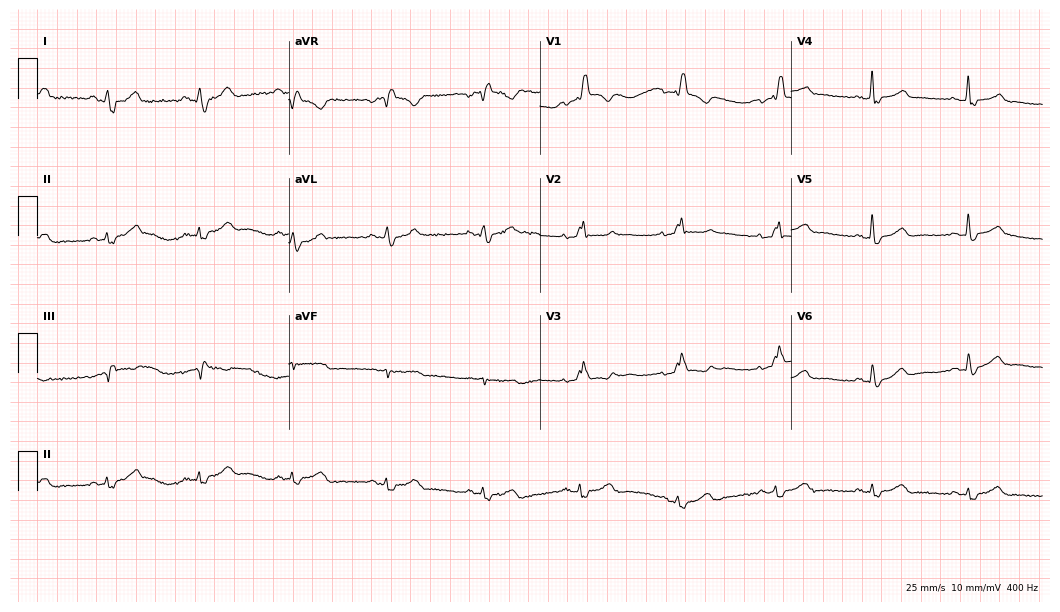
Resting 12-lead electrocardiogram. Patient: a female, 43 years old. The tracing shows right bundle branch block.